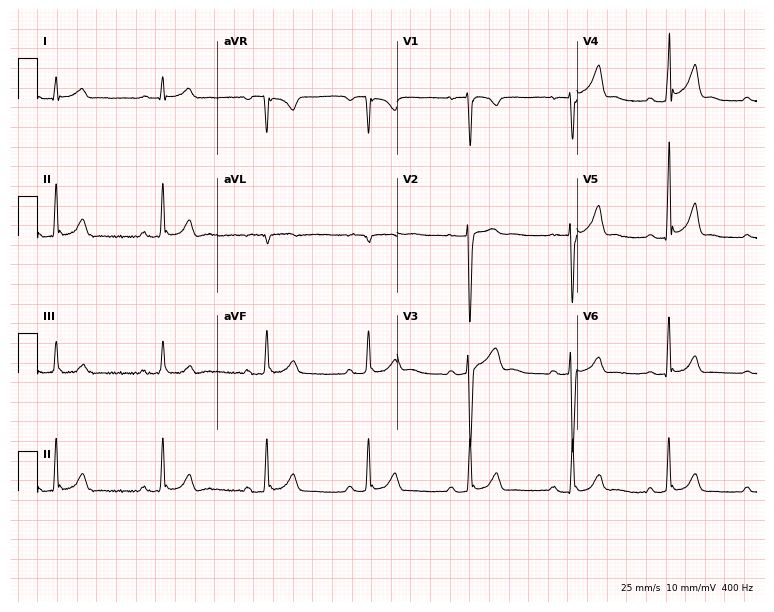
Electrocardiogram (7.3-second recording at 400 Hz), a 25-year-old male. Of the six screened findings (first-degree AV block, right bundle branch block (RBBB), left bundle branch block (LBBB), sinus bradycardia, atrial fibrillation (AF), sinus tachycardia), none is recorded. Findings outside these six are not listed.